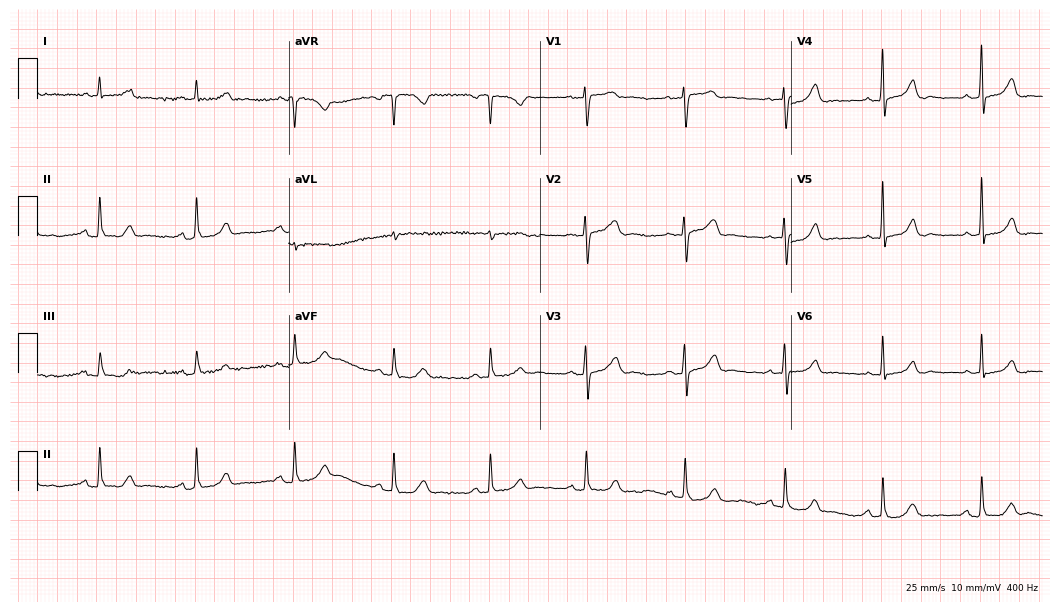
Resting 12-lead electrocardiogram. Patient: a 60-year-old female. Read as a normal ECG.